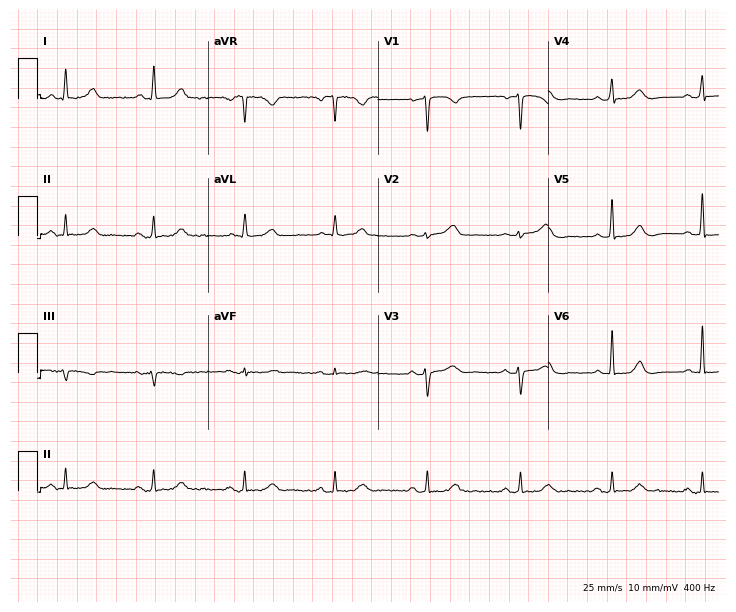
ECG (6.9-second recording at 400 Hz) — a woman, 71 years old. Labelled as a normal ECG.